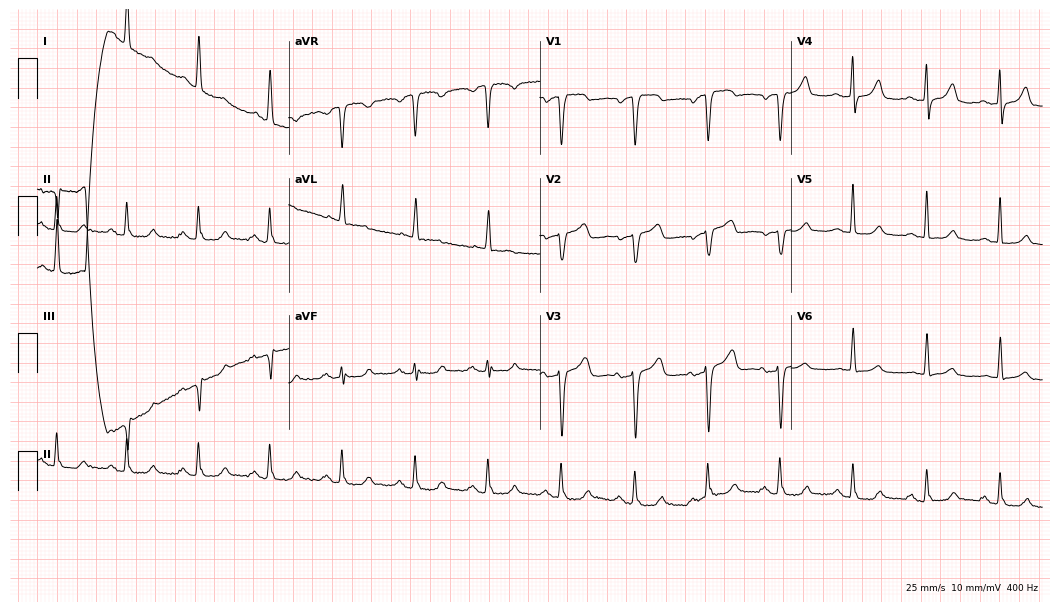
Resting 12-lead electrocardiogram. Patient: a 62-year-old woman. None of these six findings is recorded: first-degree AV block, right bundle branch block, left bundle branch block, sinus bradycardia, atrial fibrillation, sinus tachycardia. Findings outside these six are not listed.